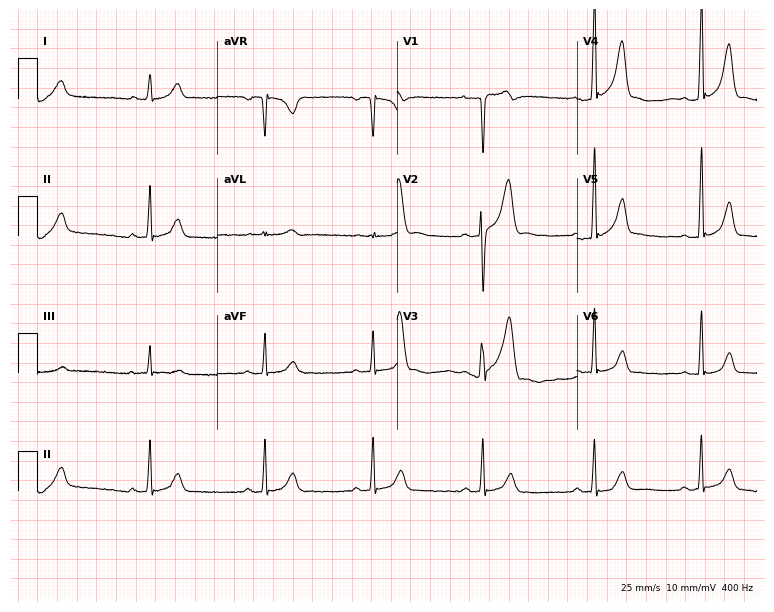
12-lead ECG from a 30-year-old male (7.3-second recording at 400 Hz). No first-degree AV block, right bundle branch block, left bundle branch block, sinus bradycardia, atrial fibrillation or sinus tachycardia recorded for this tracing. Only these six findings were labelled.